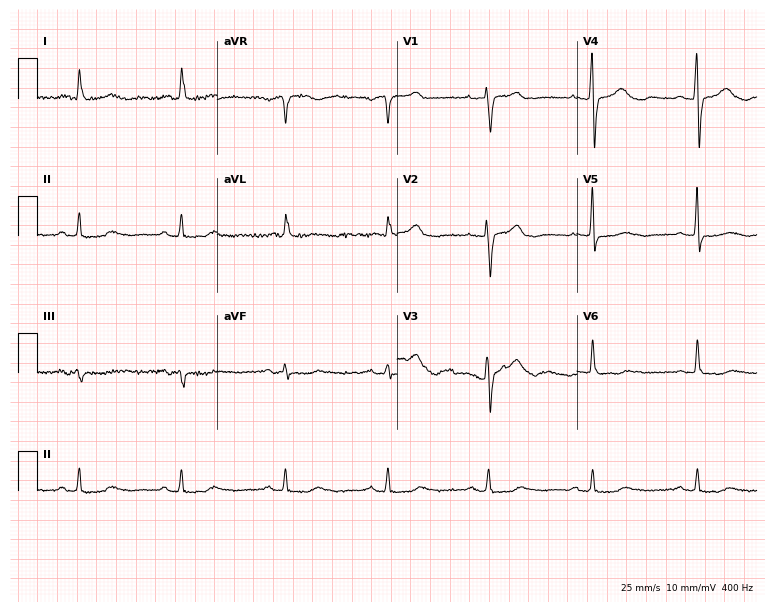
Standard 12-lead ECG recorded from a female, 80 years old. None of these six findings is recorded: first-degree AV block, right bundle branch block, left bundle branch block, sinus bradycardia, atrial fibrillation, sinus tachycardia.